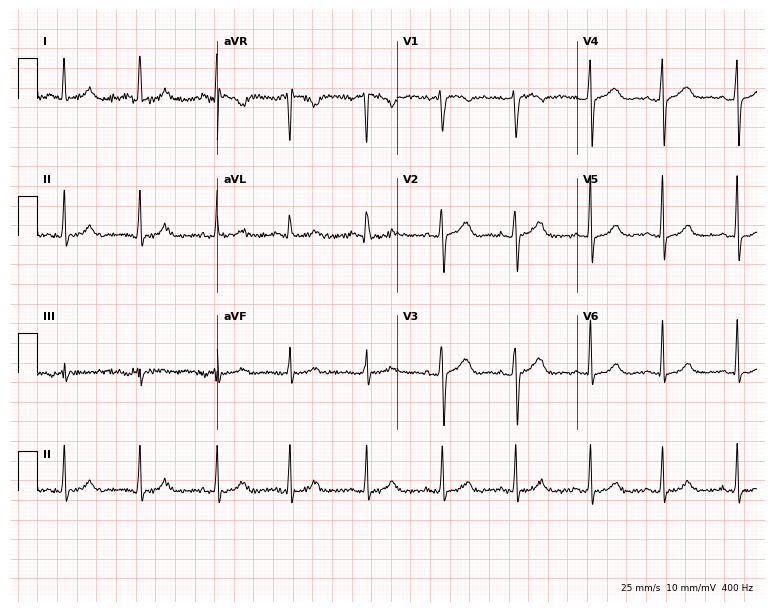
12-lead ECG from a female patient, 41 years old. Recorded interpretation: within normal limits.